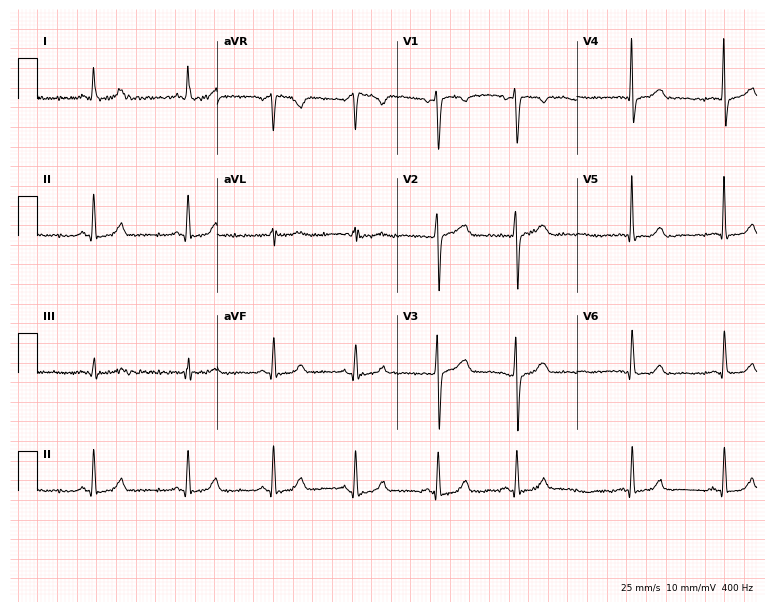
Electrocardiogram, a woman, 43 years old. Of the six screened findings (first-degree AV block, right bundle branch block, left bundle branch block, sinus bradycardia, atrial fibrillation, sinus tachycardia), none is recorded. Findings outside these six are not listed.